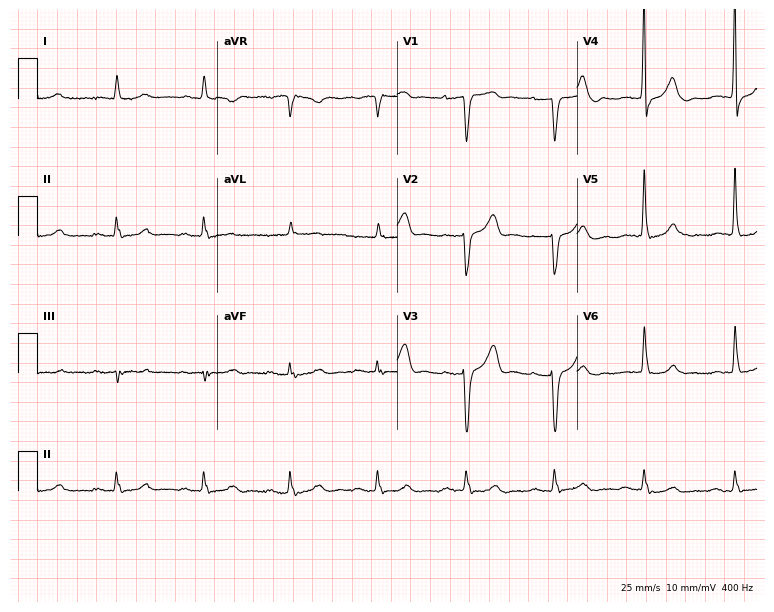
12-lead ECG from an 80-year-old male patient. Screened for six findings — first-degree AV block, right bundle branch block, left bundle branch block, sinus bradycardia, atrial fibrillation, sinus tachycardia — none is recorded.